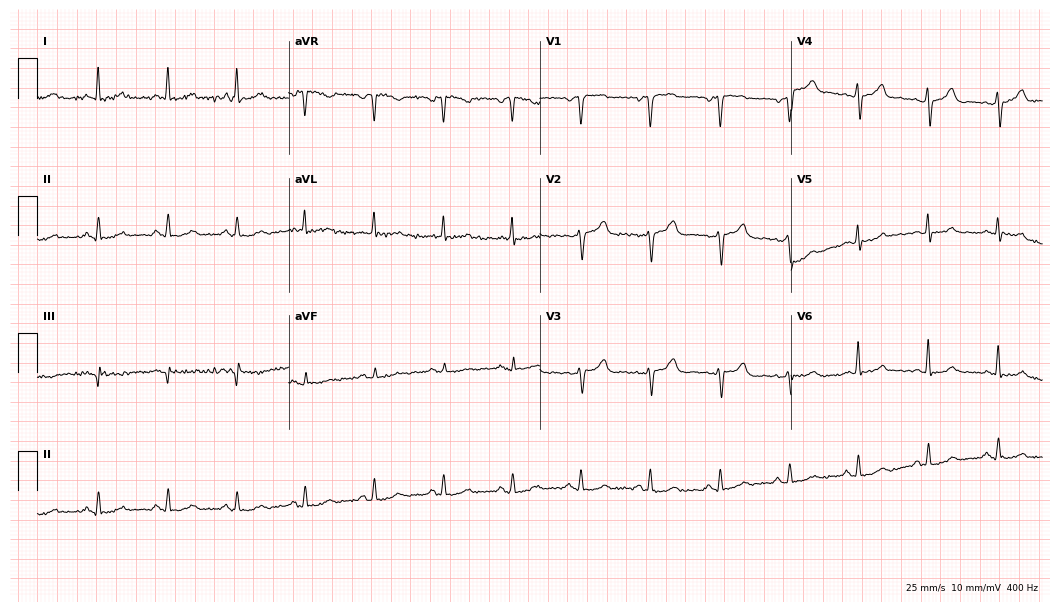
Resting 12-lead electrocardiogram. Patient: a female, 71 years old. None of these six findings is recorded: first-degree AV block, right bundle branch block, left bundle branch block, sinus bradycardia, atrial fibrillation, sinus tachycardia.